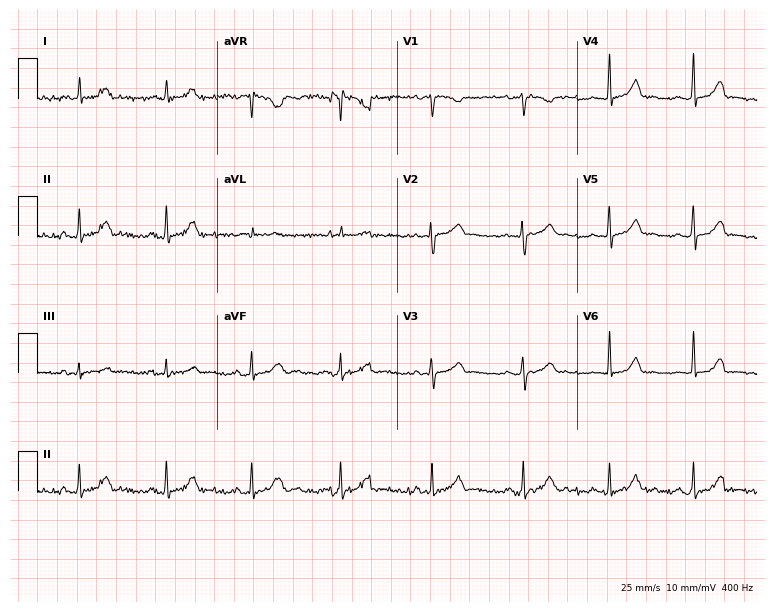
Resting 12-lead electrocardiogram (7.3-second recording at 400 Hz). Patient: a woman, 23 years old. Read as a normal ECG.